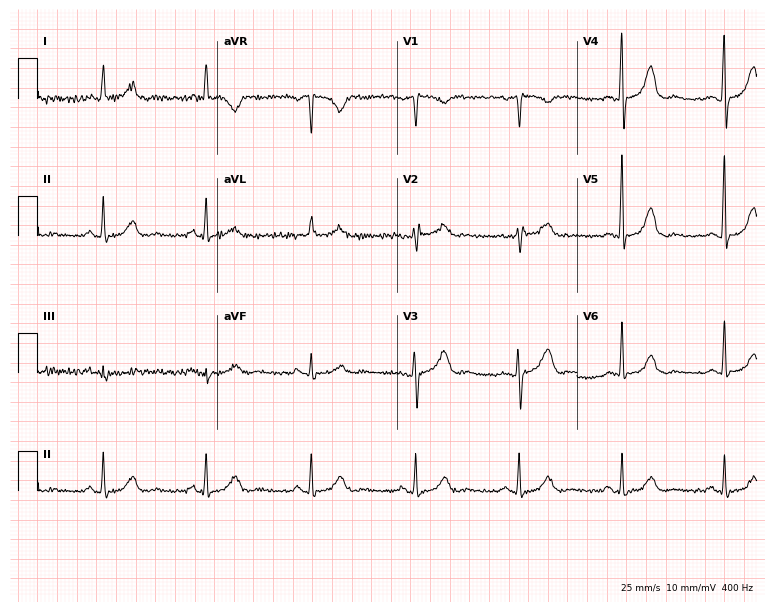
Standard 12-lead ECG recorded from a 56-year-old woman. Read as a normal ECG.